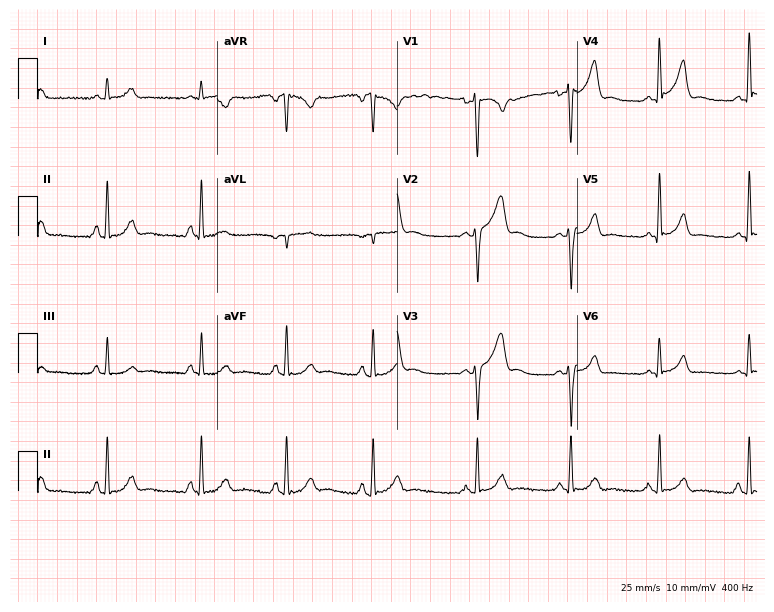
Resting 12-lead electrocardiogram (7.3-second recording at 400 Hz). Patient: a 38-year-old woman. None of these six findings is recorded: first-degree AV block, right bundle branch block (RBBB), left bundle branch block (LBBB), sinus bradycardia, atrial fibrillation (AF), sinus tachycardia. Only these six findings were labelled.